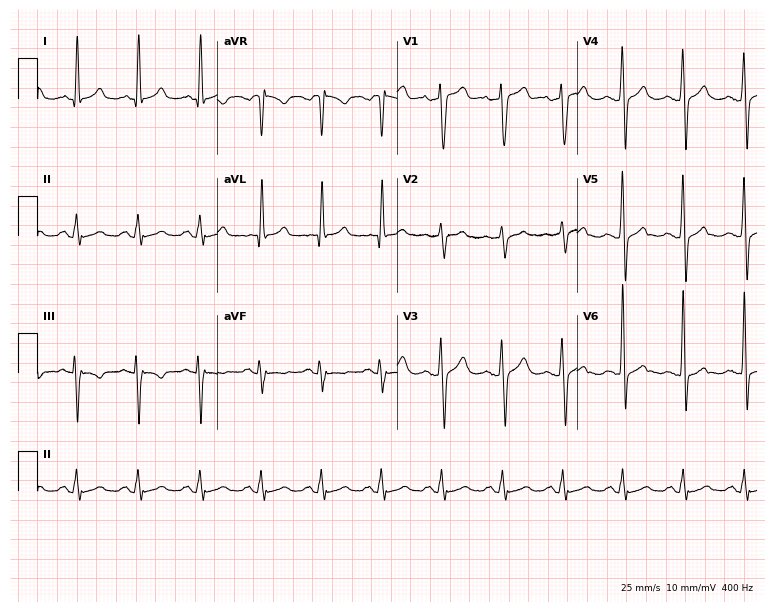
12-lead ECG from a man, 38 years old. Screened for six findings — first-degree AV block, right bundle branch block, left bundle branch block, sinus bradycardia, atrial fibrillation, sinus tachycardia — none is recorded.